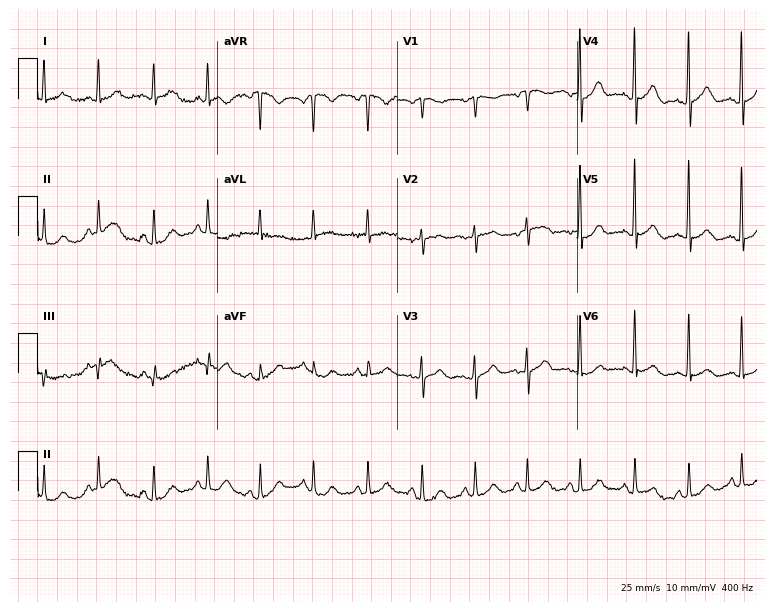
Resting 12-lead electrocardiogram (7.3-second recording at 400 Hz). Patient: a 69-year-old woman. The tracing shows sinus tachycardia (a sinus rate of 100 beats per minute or more).